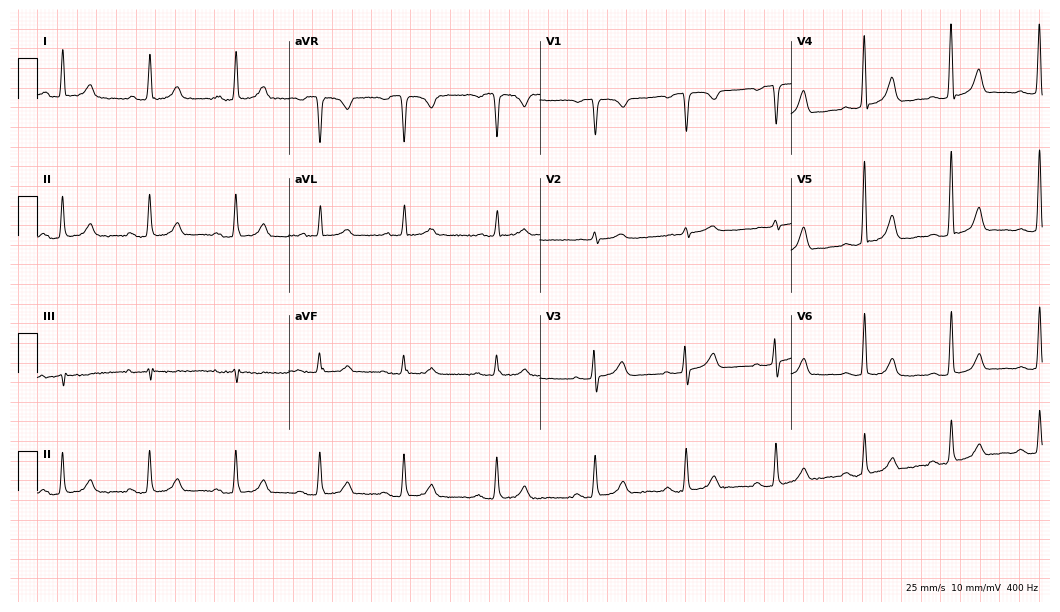
Electrocardiogram, a woman, 80 years old. Overall reading on record: normal ECG.